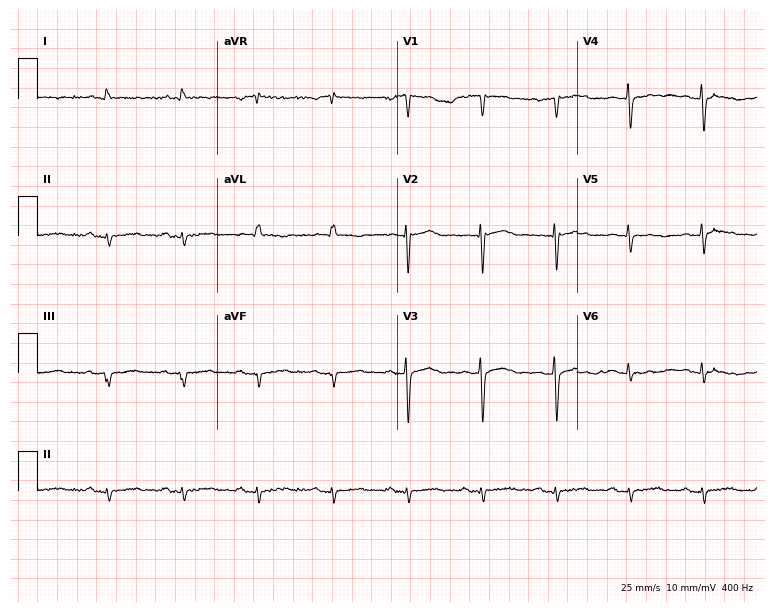
Resting 12-lead electrocardiogram (7.3-second recording at 400 Hz). Patient: a female, 70 years old. None of these six findings is recorded: first-degree AV block, right bundle branch block, left bundle branch block, sinus bradycardia, atrial fibrillation, sinus tachycardia.